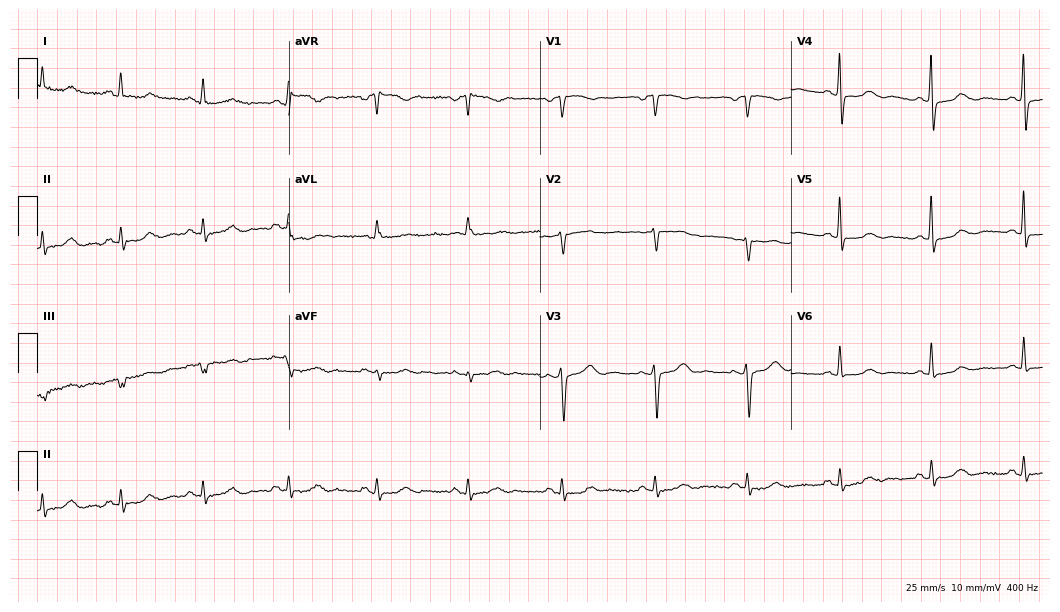
12-lead ECG (10.2-second recording at 400 Hz) from a 66-year-old woman. Labelled as a normal ECG.